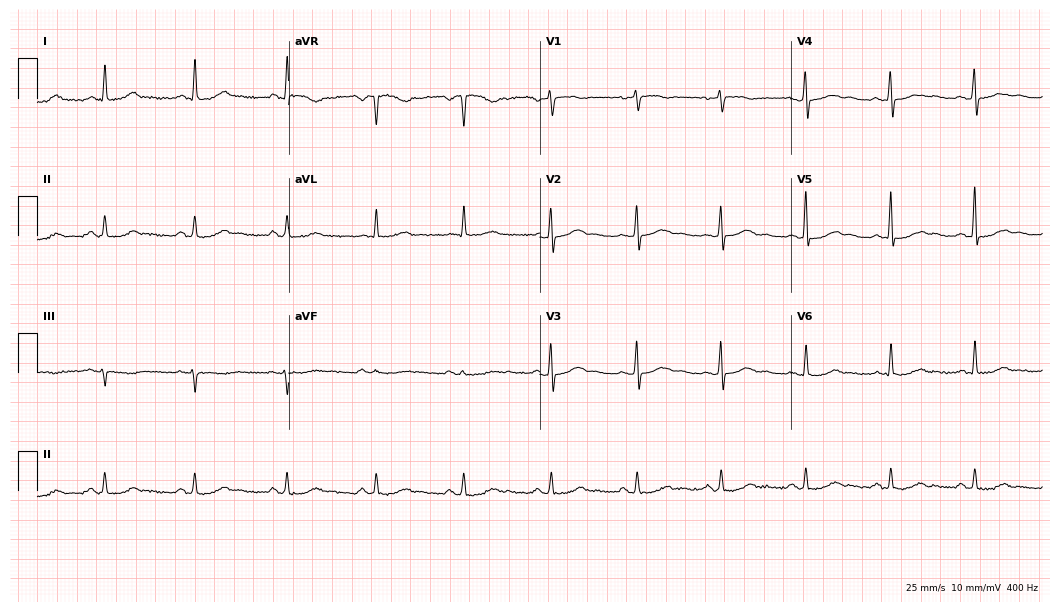
Standard 12-lead ECG recorded from a female patient, 52 years old (10.2-second recording at 400 Hz). Read as a normal ECG.